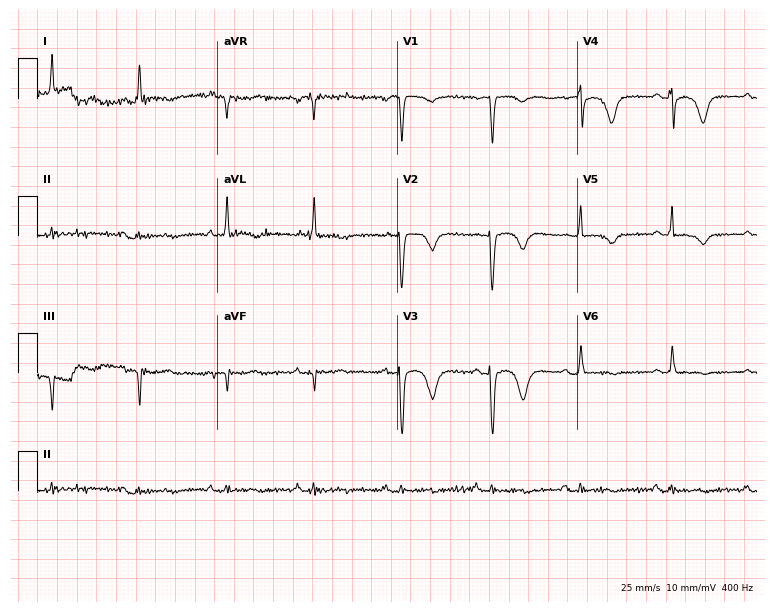
12-lead ECG (7.3-second recording at 400 Hz) from a woman, 78 years old. Screened for six findings — first-degree AV block, right bundle branch block, left bundle branch block, sinus bradycardia, atrial fibrillation, sinus tachycardia — none is recorded.